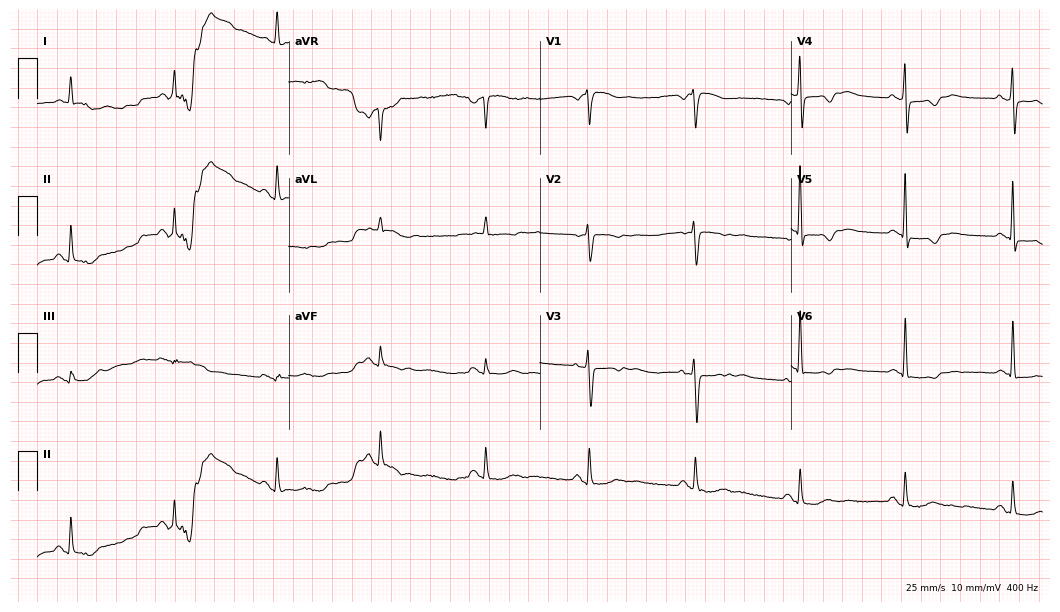
Standard 12-lead ECG recorded from a 71-year-old woman. None of these six findings is recorded: first-degree AV block, right bundle branch block, left bundle branch block, sinus bradycardia, atrial fibrillation, sinus tachycardia.